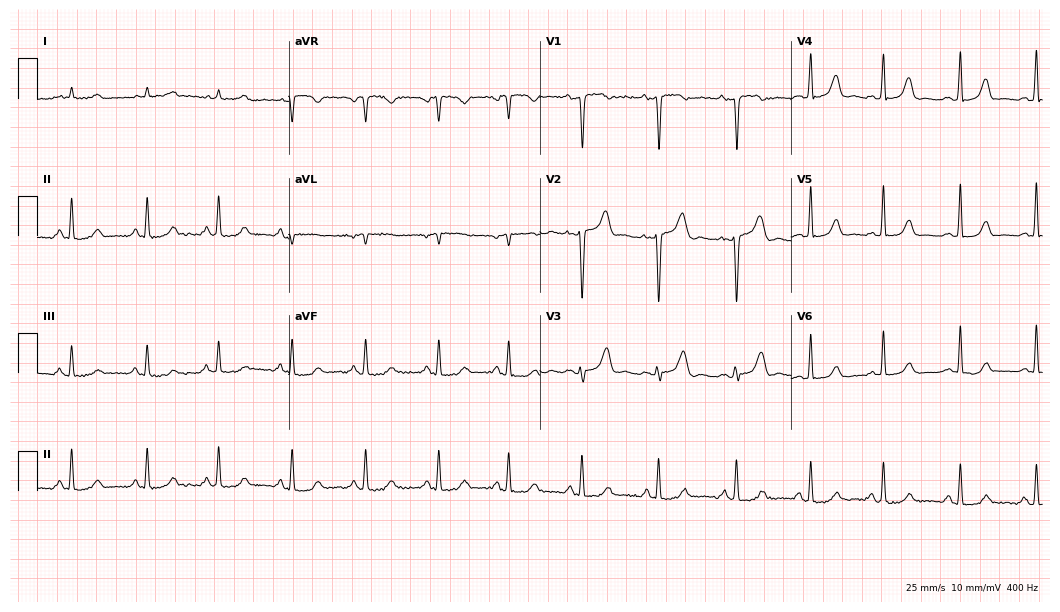
ECG — a female patient, 49 years old. Labelled as a normal ECG.